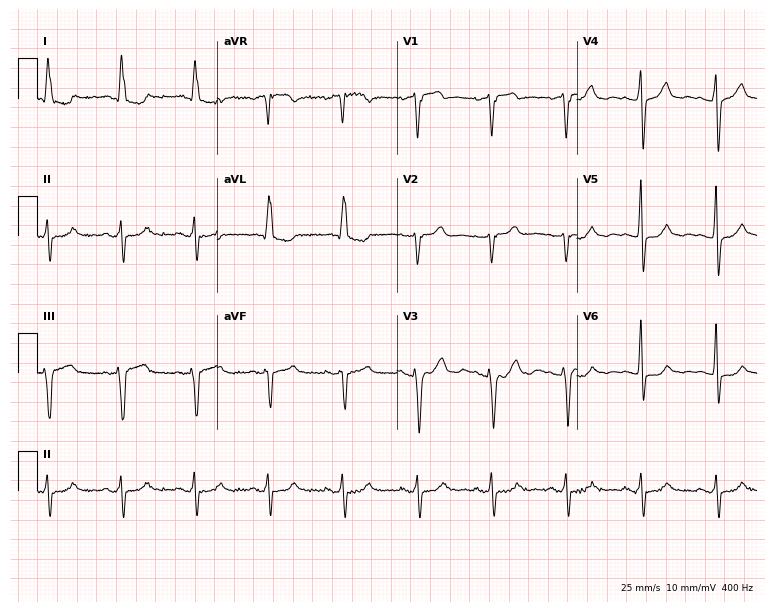
Standard 12-lead ECG recorded from a female, 66 years old. None of these six findings is recorded: first-degree AV block, right bundle branch block, left bundle branch block, sinus bradycardia, atrial fibrillation, sinus tachycardia. Other findings, if any, are not listed.